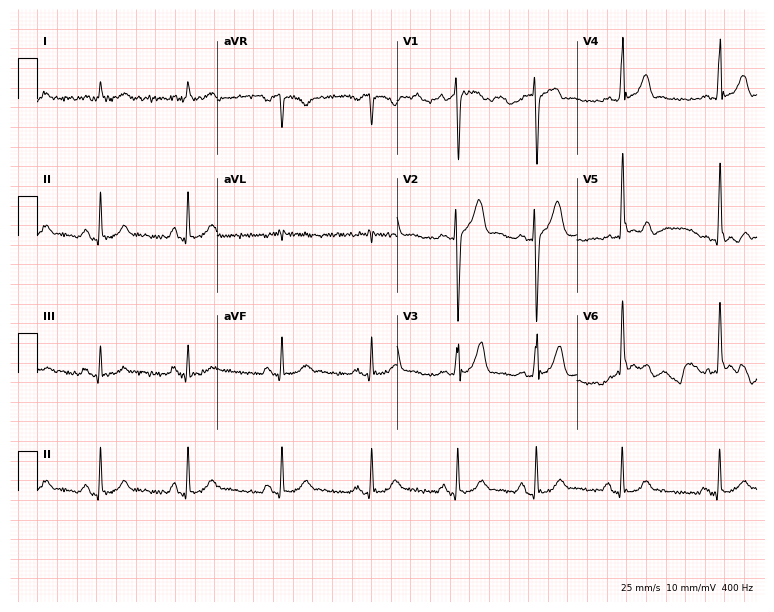
Standard 12-lead ECG recorded from a man, 53 years old (7.3-second recording at 400 Hz). None of these six findings is recorded: first-degree AV block, right bundle branch block (RBBB), left bundle branch block (LBBB), sinus bradycardia, atrial fibrillation (AF), sinus tachycardia. Only these six findings were labelled.